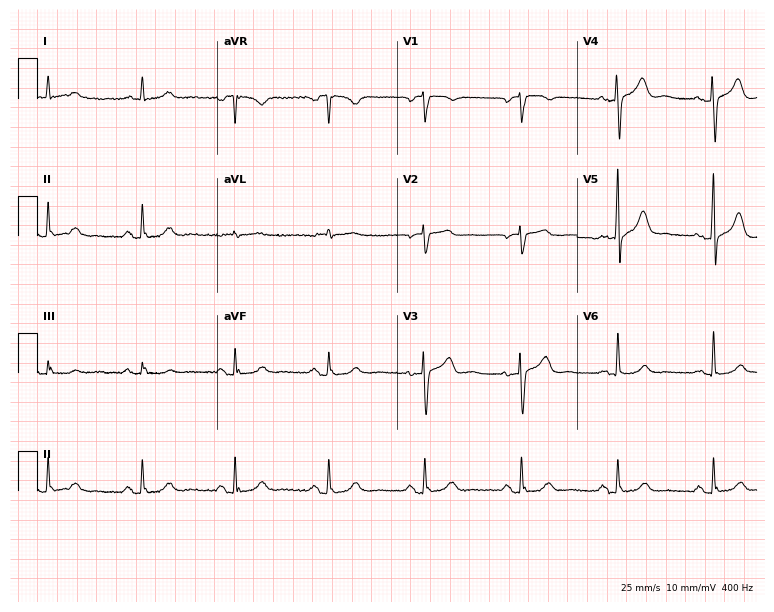
12-lead ECG from a woman, 79 years old. Labelled as a normal ECG.